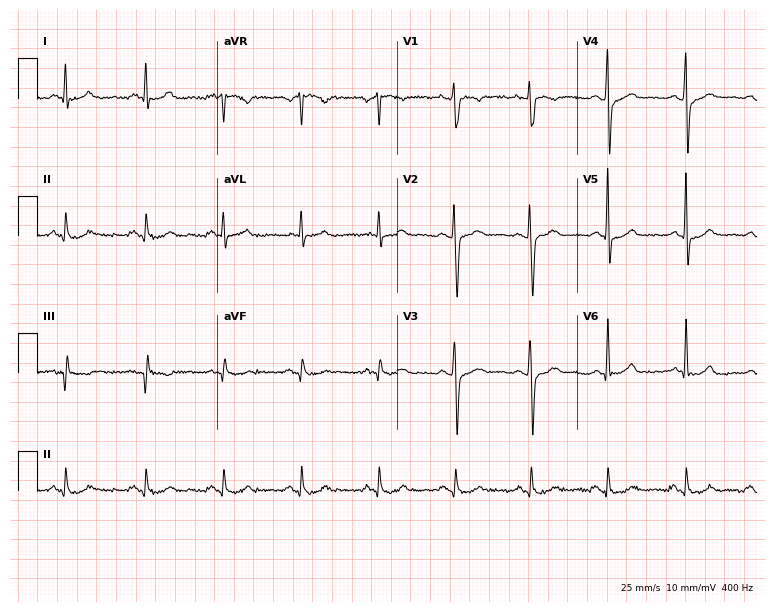
12-lead ECG from a male patient, 54 years old. Recorded interpretation: within normal limits.